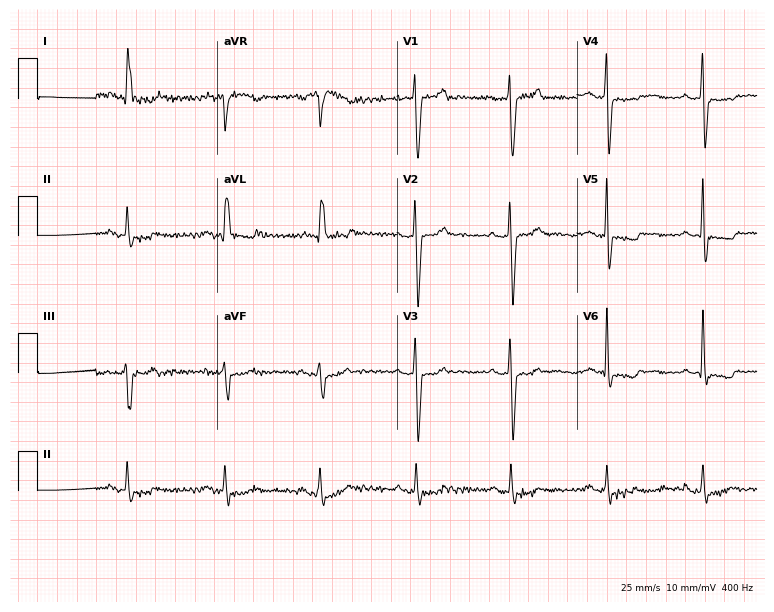
Electrocardiogram (7.3-second recording at 400 Hz), a male patient, 84 years old. Of the six screened findings (first-degree AV block, right bundle branch block, left bundle branch block, sinus bradycardia, atrial fibrillation, sinus tachycardia), none is recorded.